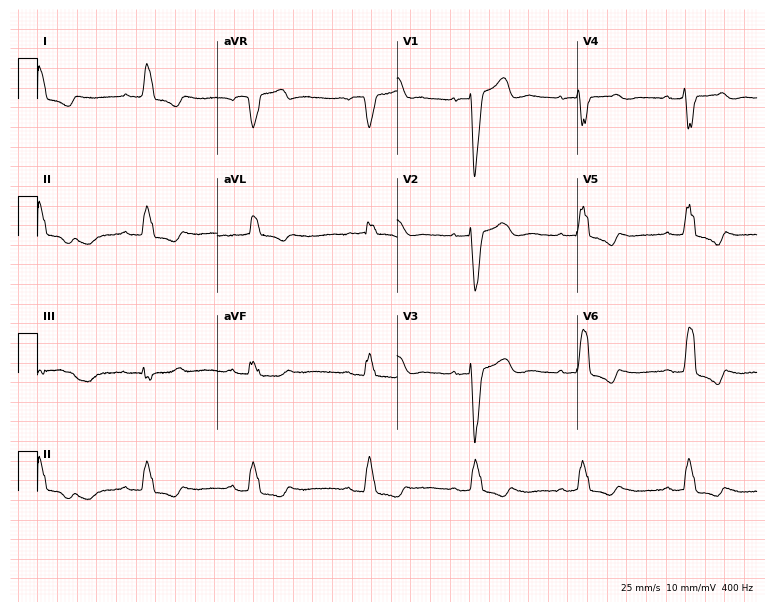
12-lead ECG from a 78-year-old male. Findings include left bundle branch block.